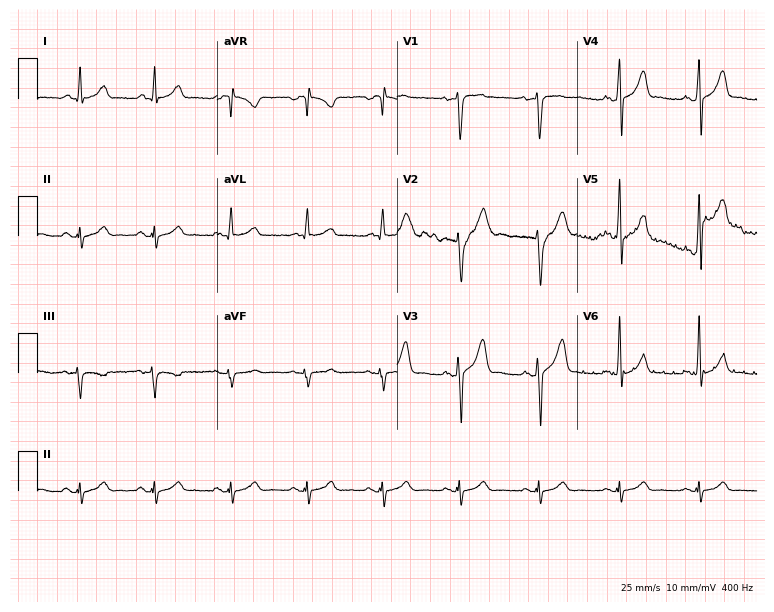
Electrocardiogram (7.3-second recording at 400 Hz), a man, 33 years old. Overall reading on record: normal ECG.